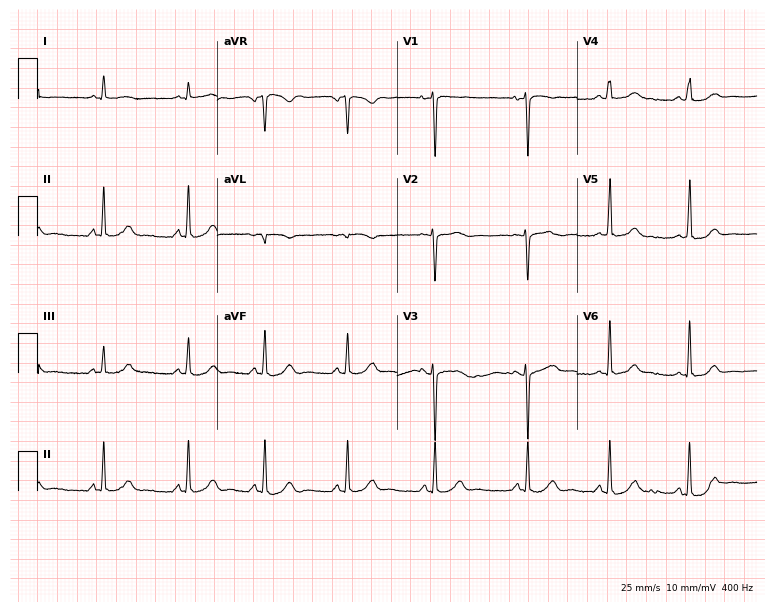
Standard 12-lead ECG recorded from a female, 19 years old. Read as a normal ECG.